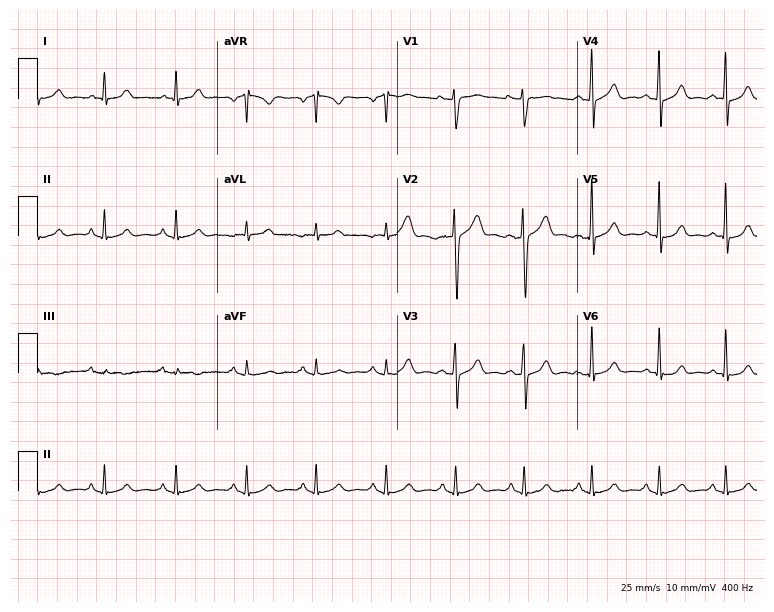
Resting 12-lead electrocardiogram. Patient: a man, 39 years old. Read as a normal ECG.